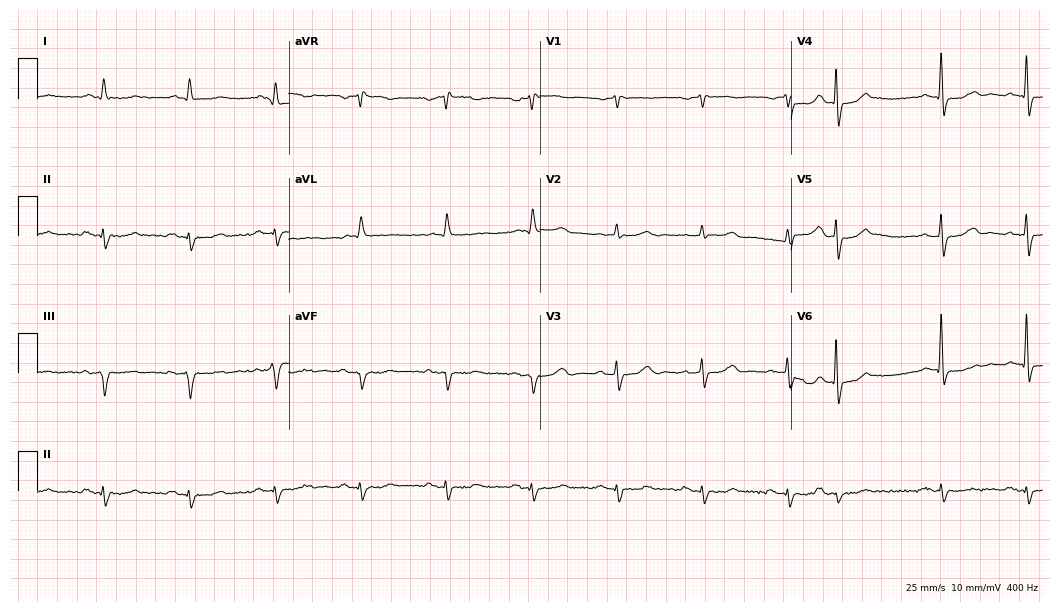
12-lead ECG from a 79-year-old man. No first-degree AV block, right bundle branch block, left bundle branch block, sinus bradycardia, atrial fibrillation or sinus tachycardia recorded for this tracing.